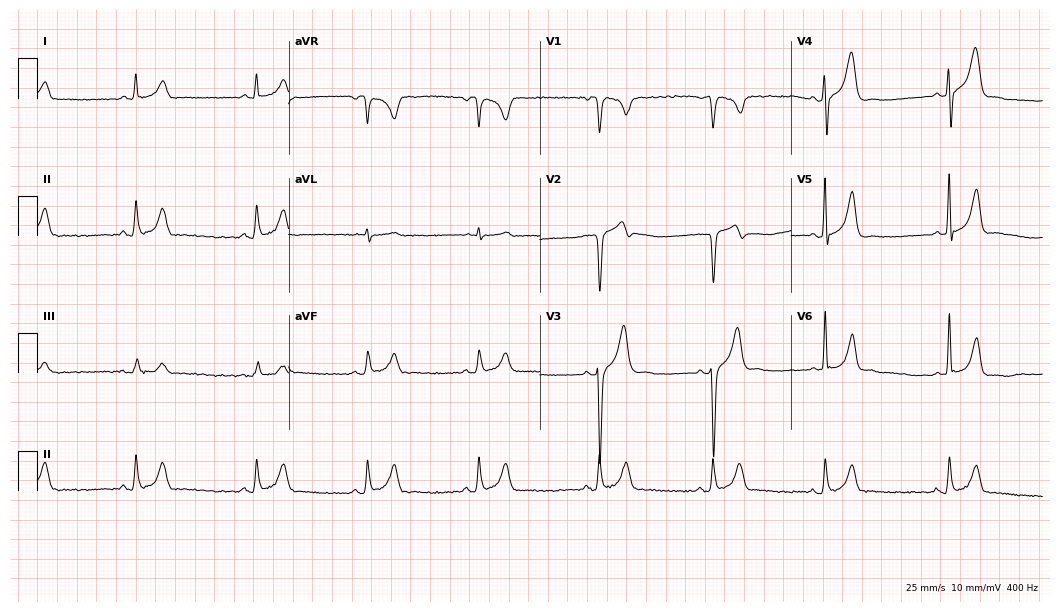
ECG — a male patient, 30 years old. Findings include sinus bradycardia (a sinus rate of 50 beats per minute or less).